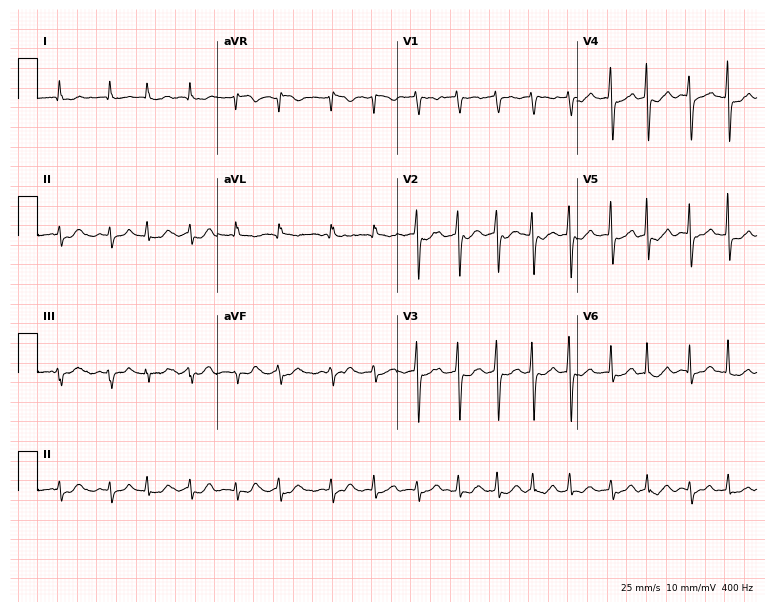
ECG (7.3-second recording at 400 Hz) — a 72-year-old female. Findings include atrial fibrillation.